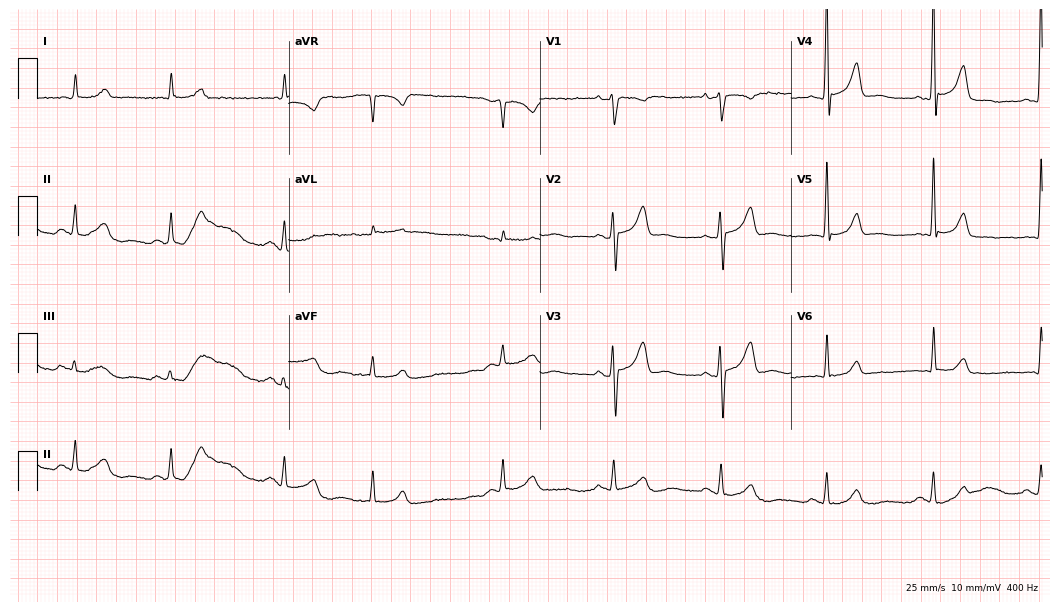
Electrocardiogram (10.2-second recording at 400 Hz), a male, 71 years old. Overall reading on record: normal ECG.